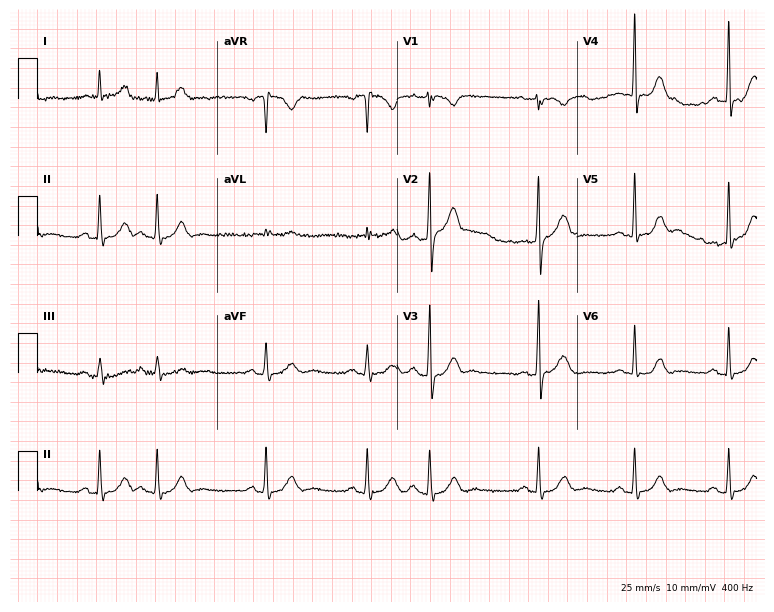
12-lead ECG (7.3-second recording at 400 Hz) from a 65-year-old male. Labelled as a normal ECG.